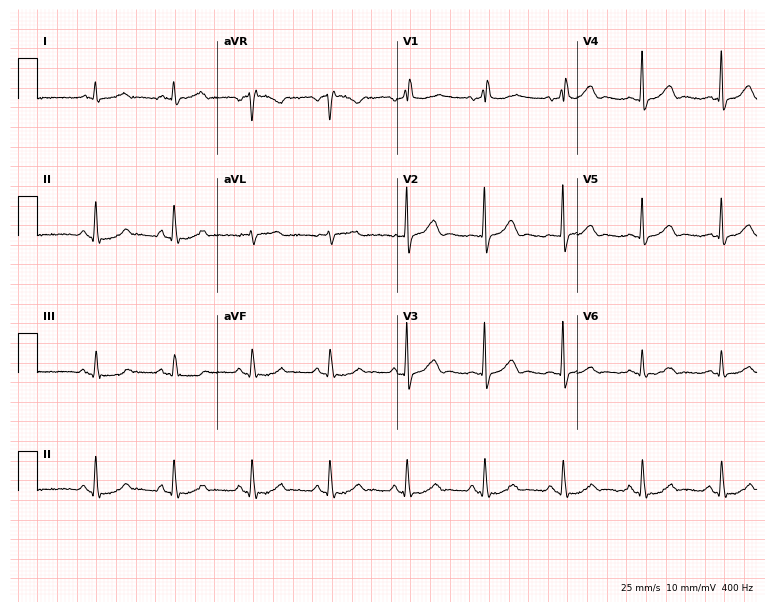
12-lead ECG (7.3-second recording at 400 Hz) from a male, 77 years old. Screened for six findings — first-degree AV block, right bundle branch block (RBBB), left bundle branch block (LBBB), sinus bradycardia, atrial fibrillation (AF), sinus tachycardia — none is recorded.